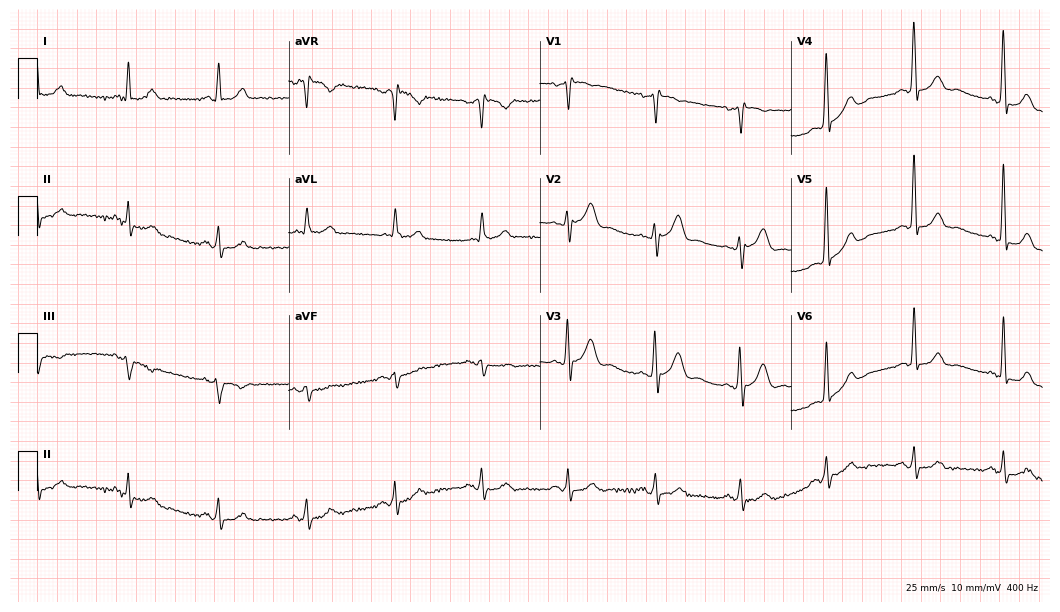
Electrocardiogram, a man, 57 years old. Overall reading on record: normal ECG.